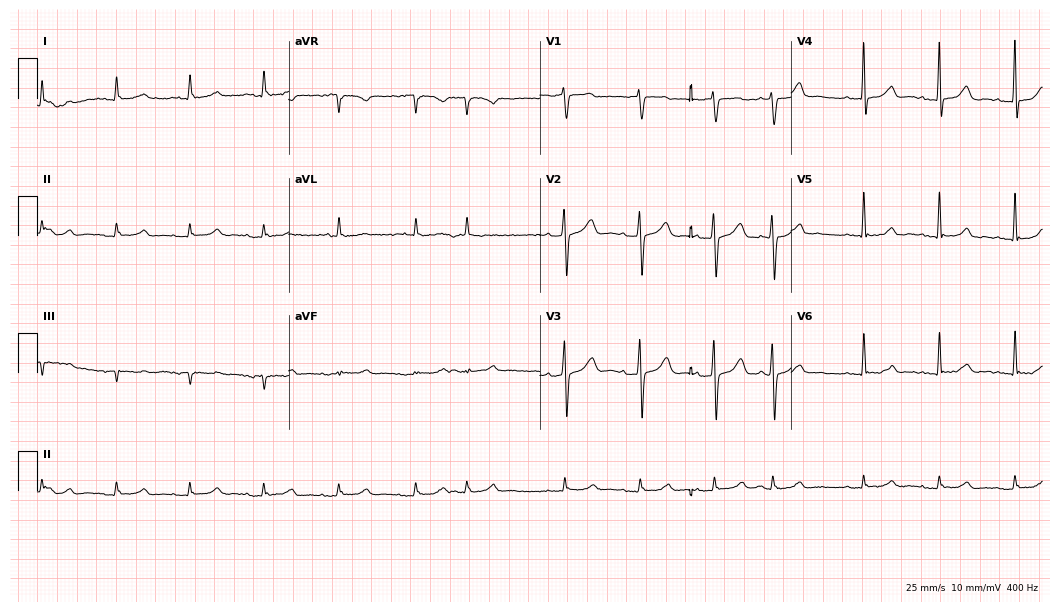
Standard 12-lead ECG recorded from a female patient, 77 years old. Read as a normal ECG.